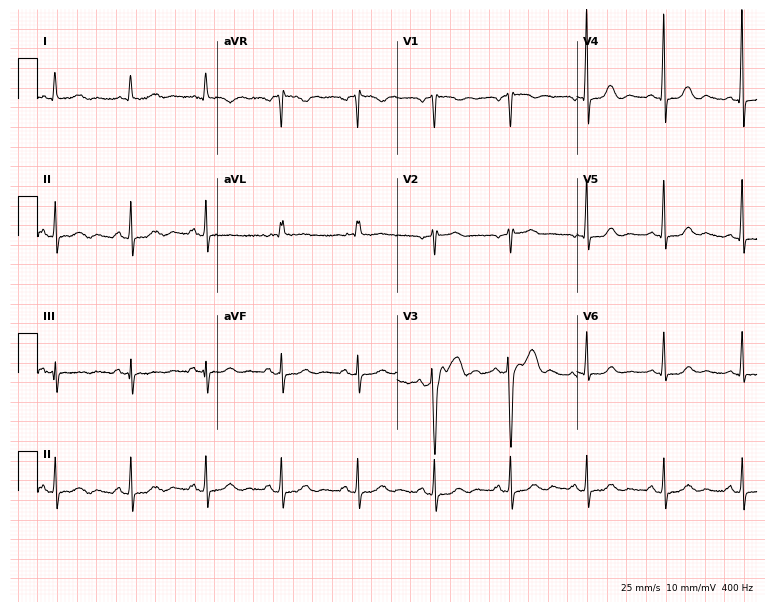
12-lead ECG (7.3-second recording at 400 Hz) from a 72-year-old female. Screened for six findings — first-degree AV block, right bundle branch block, left bundle branch block, sinus bradycardia, atrial fibrillation, sinus tachycardia — none is recorded.